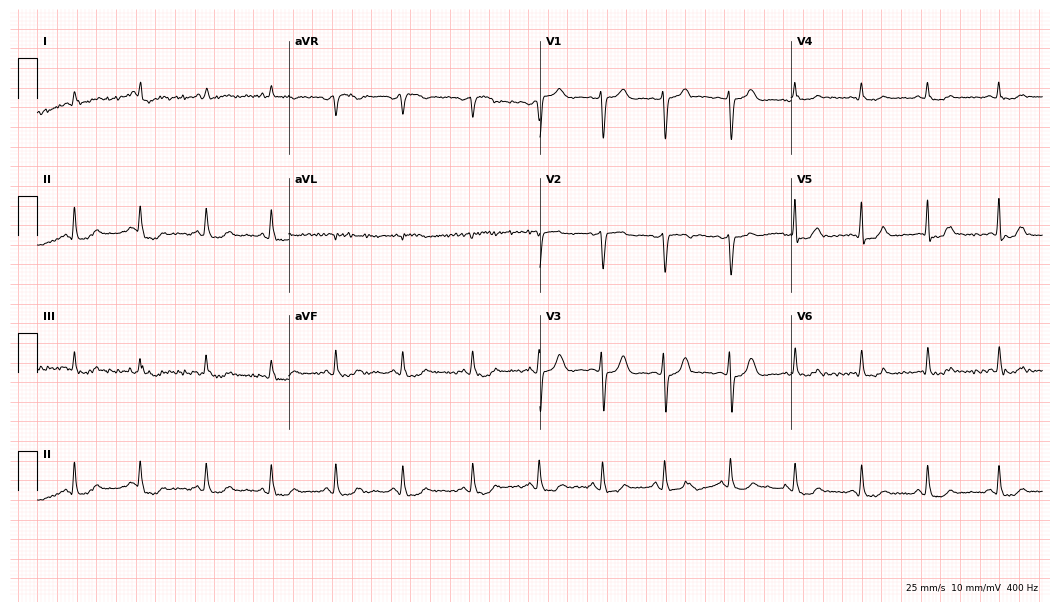
12-lead ECG from a male, 72 years old. No first-degree AV block, right bundle branch block, left bundle branch block, sinus bradycardia, atrial fibrillation or sinus tachycardia recorded for this tracing. Other findings, if any, are not listed.